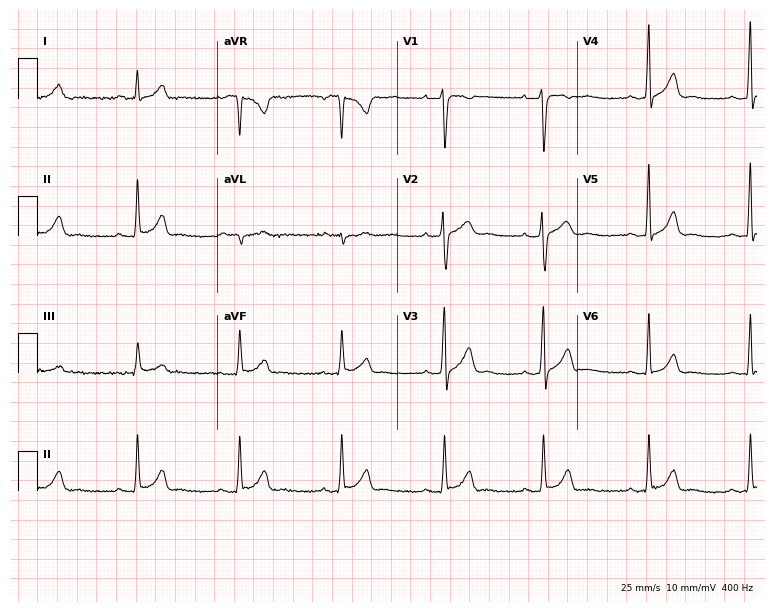
Electrocardiogram (7.3-second recording at 400 Hz), a 26-year-old male patient. Overall reading on record: normal ECG.